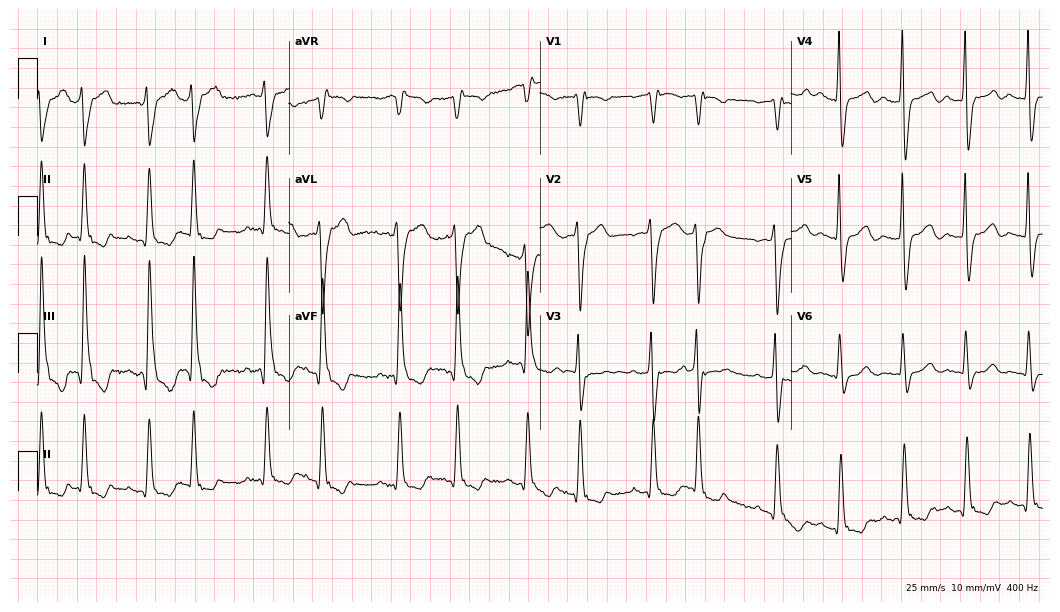
Standard 12-lead ECG recorded from a male, 81 years old (10.2-second recording at 400 Hz). The tracing shows right bundle branch block, atrial fibrillation.